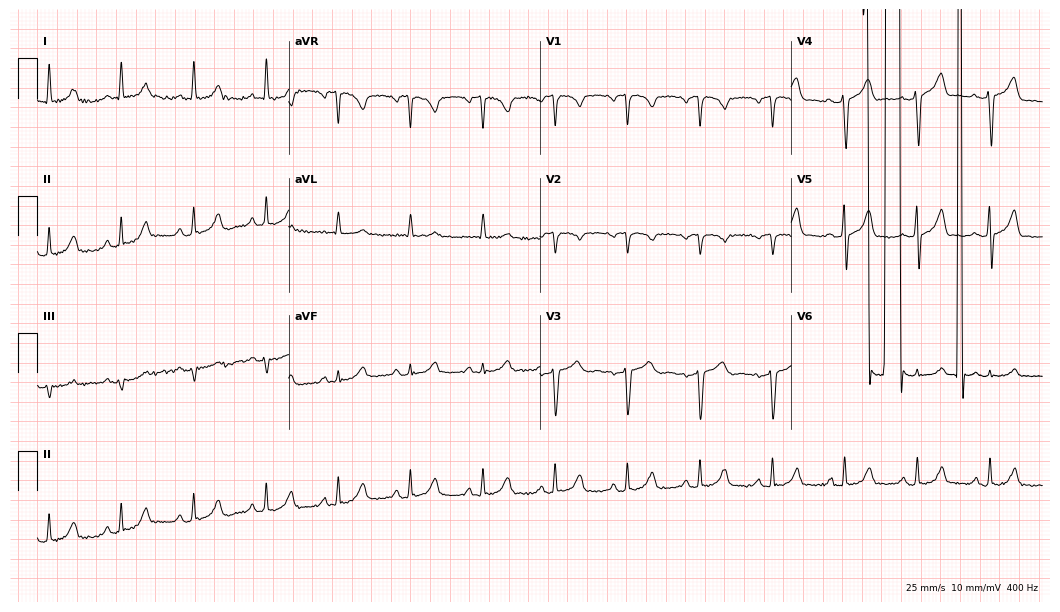
12-lead ECG from a woman, 75 years old. Recorded interpretation: within normal limits.